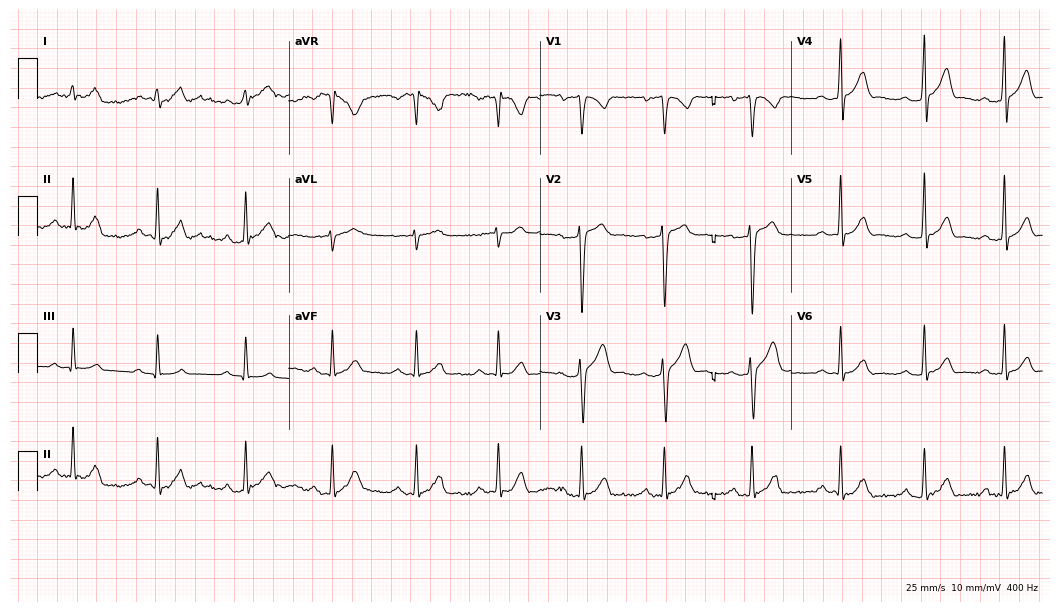
12-lead ECG from a 27-year-old man. Labelled as a normal ECG.